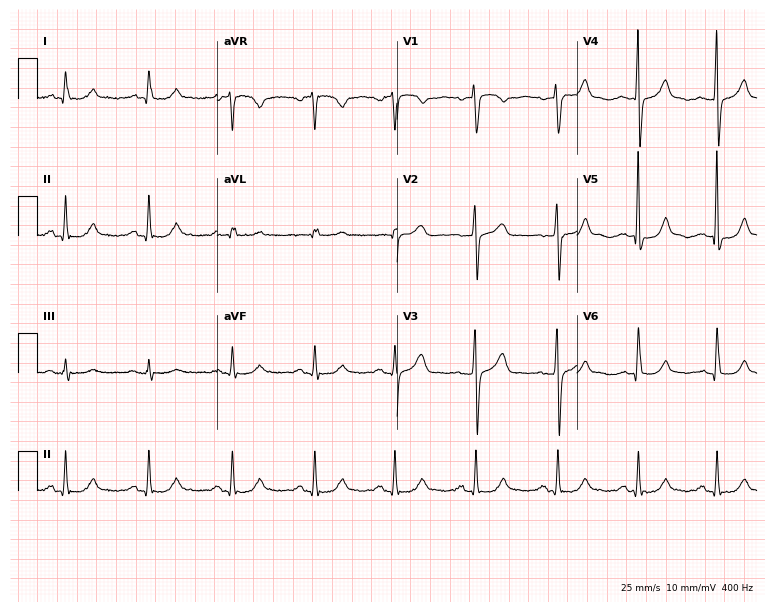
12-lead ECG from a female patient, 55 years old. Recorded interpretation: within normal limits.